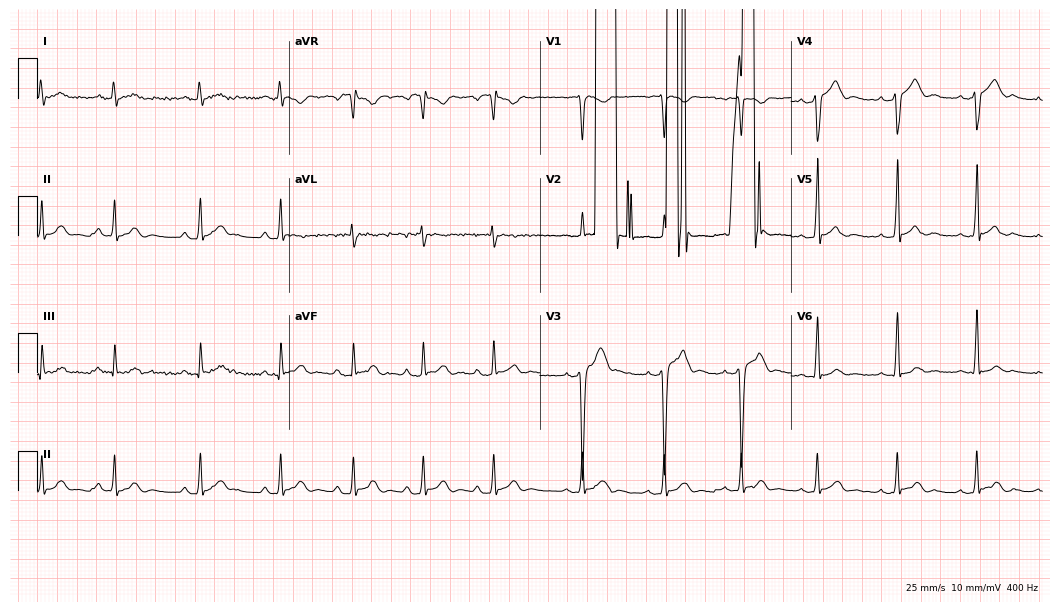
12-lead ECG (10.2-second recording at 400 Hz) from a male patient, 28 years old. Screened for six findings — first-degree AV block, right bundle branch block, left bundle branch block, sinus bradycardia, atrial fibrillation, sinus tachycardia — none is recorded.